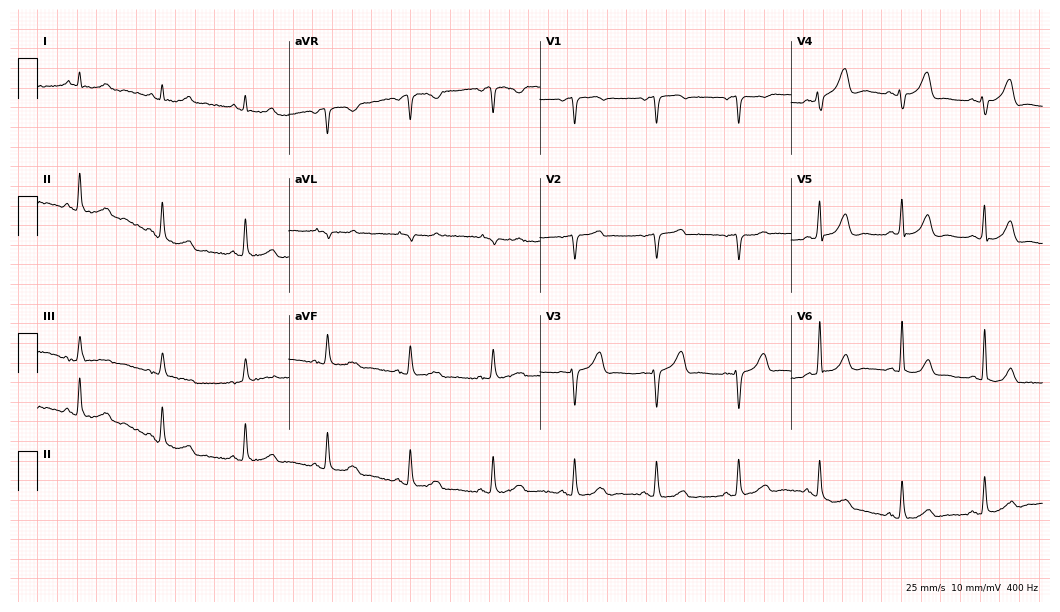
Electrocardiogram (10.2-second recording at 400 Hz), a man, 69 years old. Of the six screened findings (first-degree AV block, right bundle branch block (RBBB), left bundle branch block (LBBB), sinus bradycardia, atrial fibrillation (AF), sinus tachycardia), none is recorded.